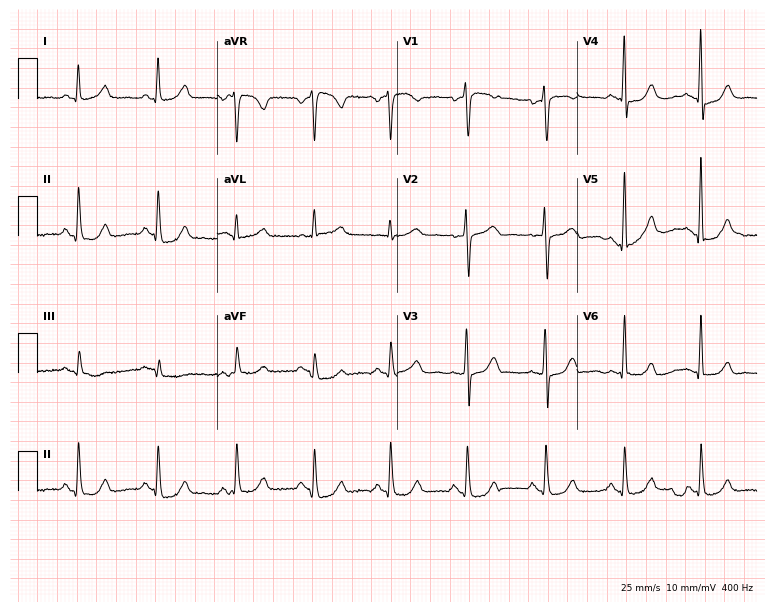
12-lead ECG from a female, 56 years old. Labelled as a normal ECG.